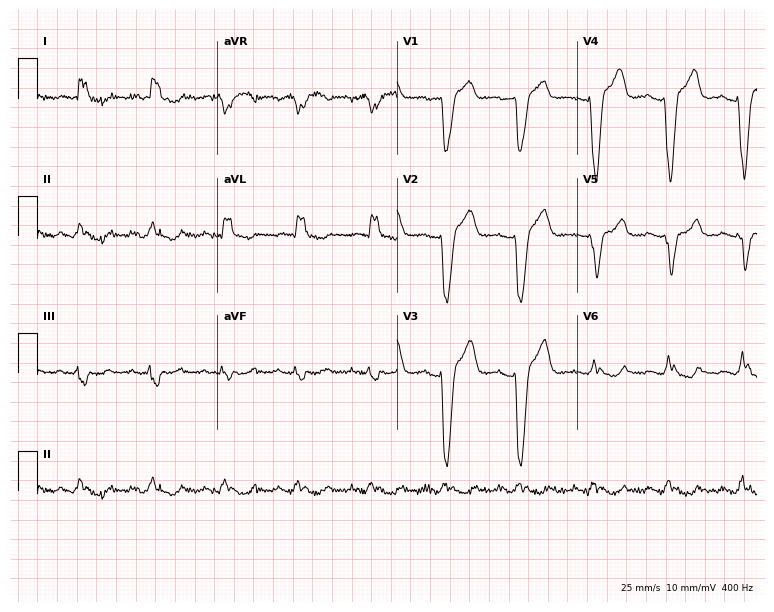
Standard 12-lead ECG recorded from a 71-year-old female patient (7.3-second recording at 400 Hz). None of these six findings is recorded: first-degree AV block, right bundle branch block (RBBB), left bundle branch block (LBBB), sinus bradycardia, atrial fibrillation (AF), sinus tachycardia.